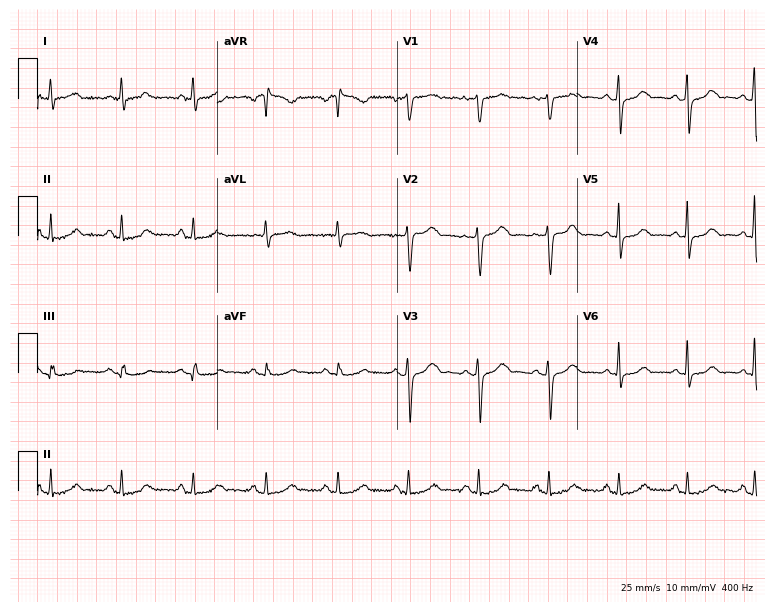
Resting 12-lead electrocardiogram (7.3-second recording at 400 Hz). Patient: a 45-year-old female. None of these six findings is recorded: first-degree AV block, right bundle branch block, left bundle branch block, sinus bradycardia, atrial fibrillation, sinus tachycardia. Findings outside these six are not listed.